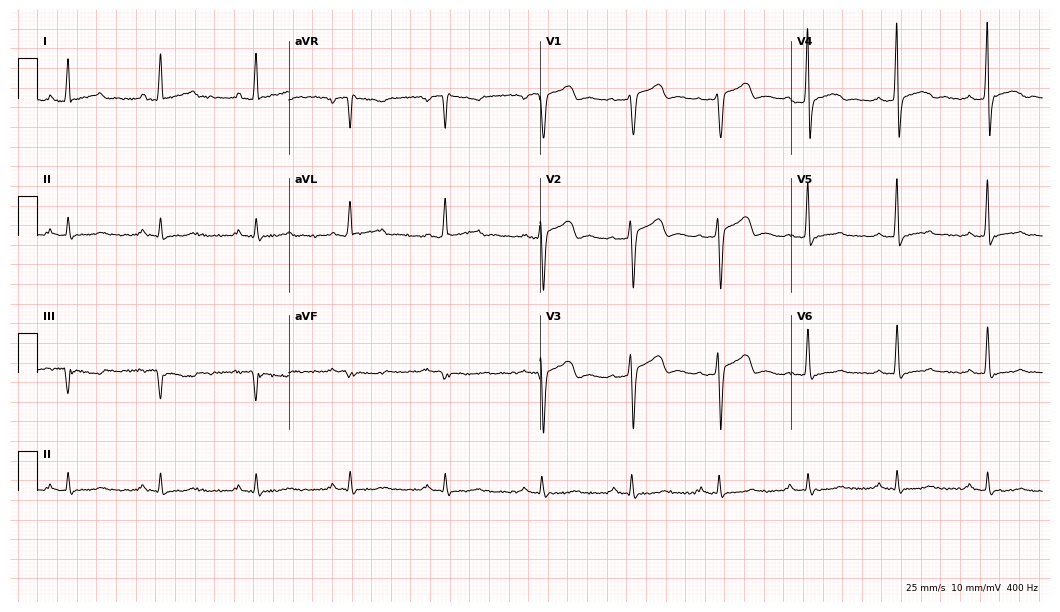
12-lead ECG (10.2-second recording at 400 Hz) from a 54-year-old male. Screened for six findings — first-degree AV block, right bundle branch block, left bundle branch block, sinus bradycardia, atrial fibrillation, sinus tachycardia — none is recorded. Only these six findings were labelled.